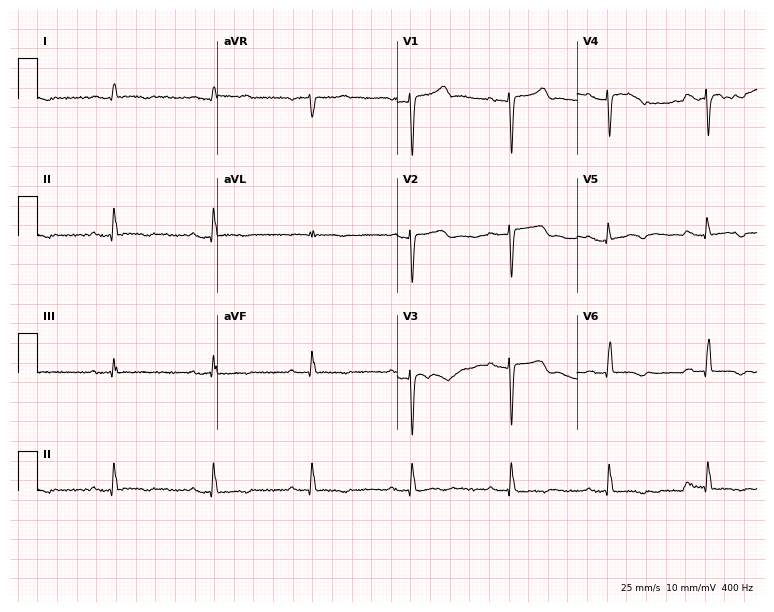
ECG — a man, 84 years old. Screened for six findings — first-degree AV block, right bundle branch block, left bundle branch block, sinus bradycardia, atrial fibrillation, sinus tachycardia — none is recorded.